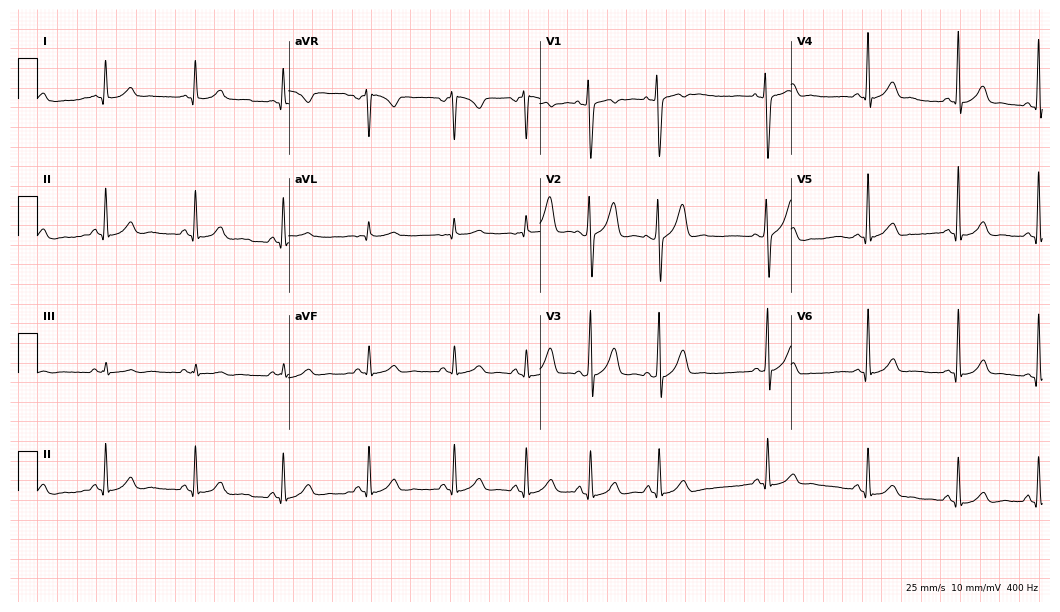
ECG (10.2-second recording at 400 Hz) — a male patient, 43 years old. Labelled as a normal ECG.